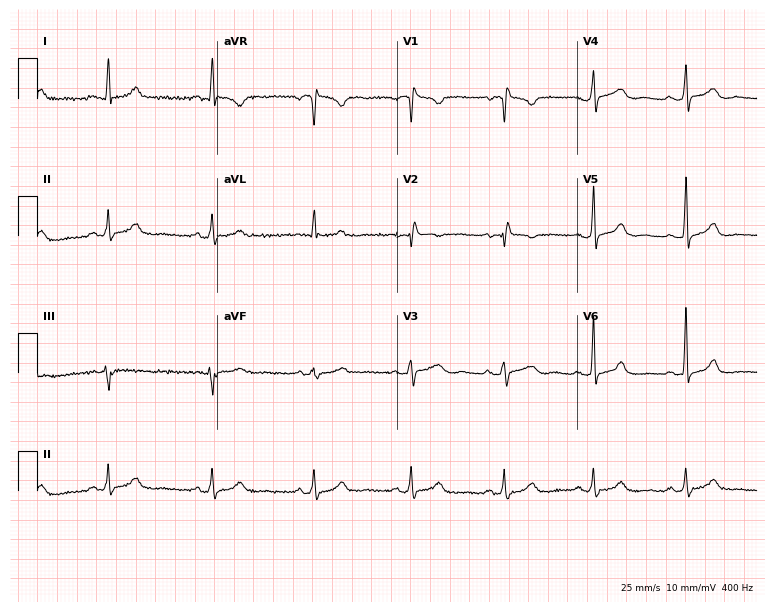
Standard 12-lead ECG recorded from a male patient, 50 years old. None of these six findings is recorded: first-degree AV block, right bundle branch block, left bundle branch block, sinus bradycardia, atrial fibrillation, sinus tachycardia.